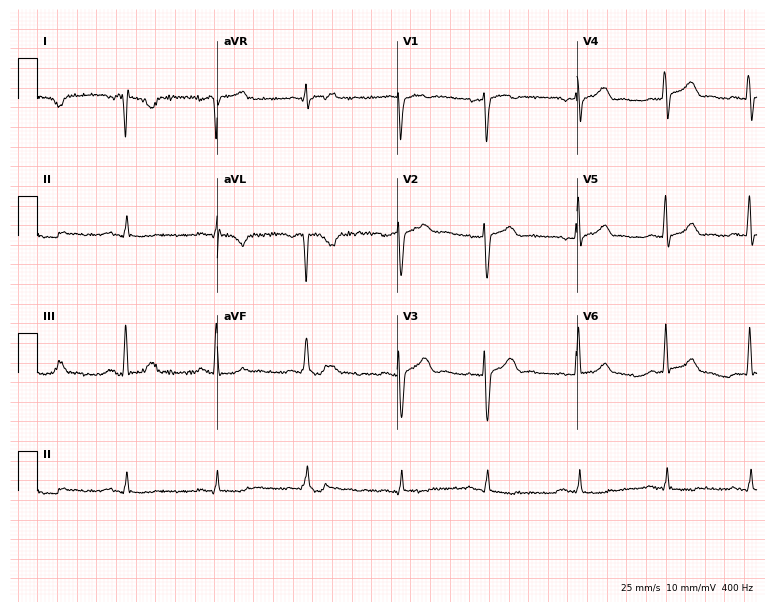
12-lead ECG (7.3-second recording at 400 Hz) from a female, 36 years old. Screened for six findings — first-degree AV block, right bundle branch block, left bundle branch block, sinus bradycardia, atrial fibrillation, sinus tachycardia — none is recorded.